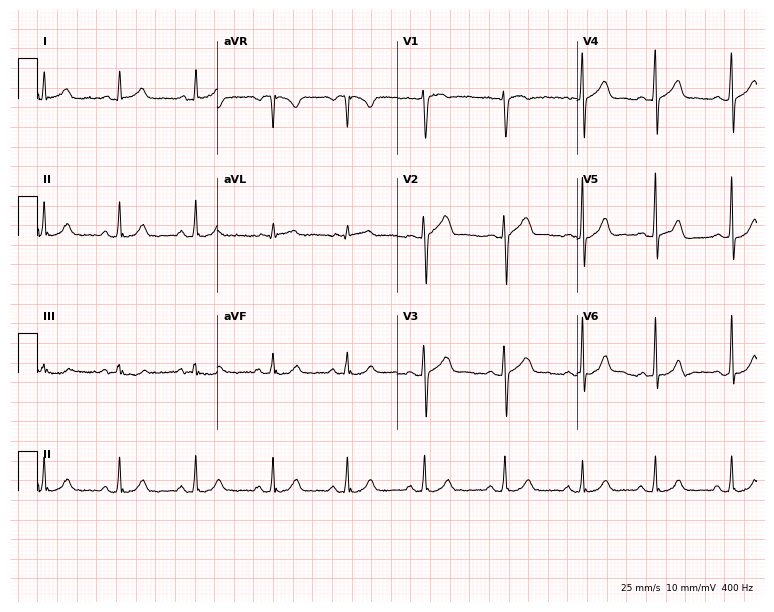
12-lead ECG (7.3-second recording at 400 Hz) from a female, 29 years old. Labelled as a normal ECG.